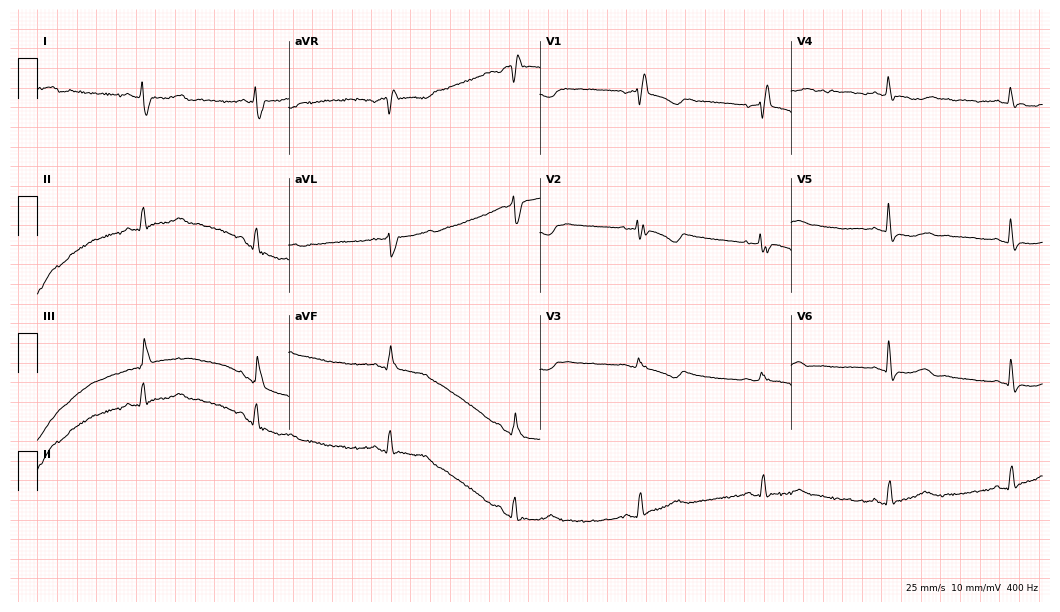
Electrocardiogram (10.2-second recording at 400 Hz), a female, 65 years old. Interpretation includes right bundle branch block, sinus bradycardia (a sinus rate of 50 beats per minute or less).